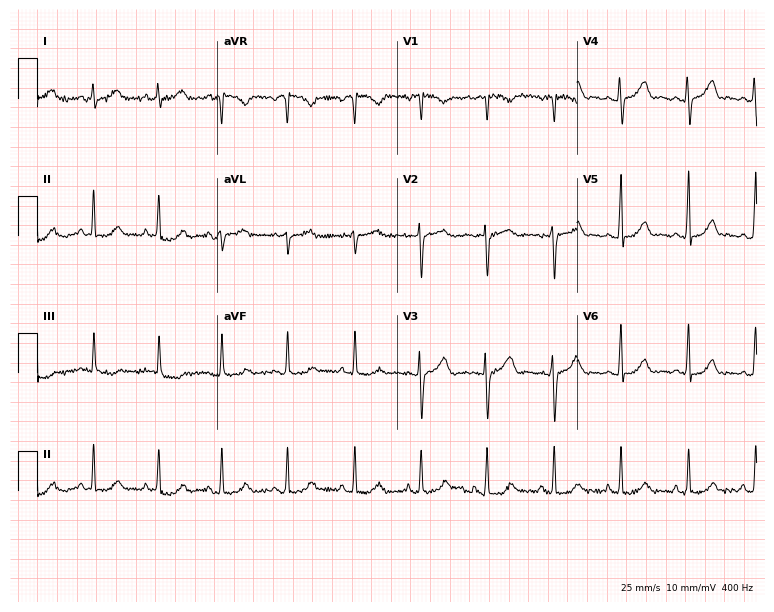
12-lead ECG from a 21-year-old female patient (7.3-second recording at 400 Hz). No first-degree AV block, right bundle branch block (RBBB), left bundle branch block (LBBB), sinus bradycardia, atrial fibrillation (AF) or sinus tachycardia recorded for this tracing. Findings outside these six are not listed.